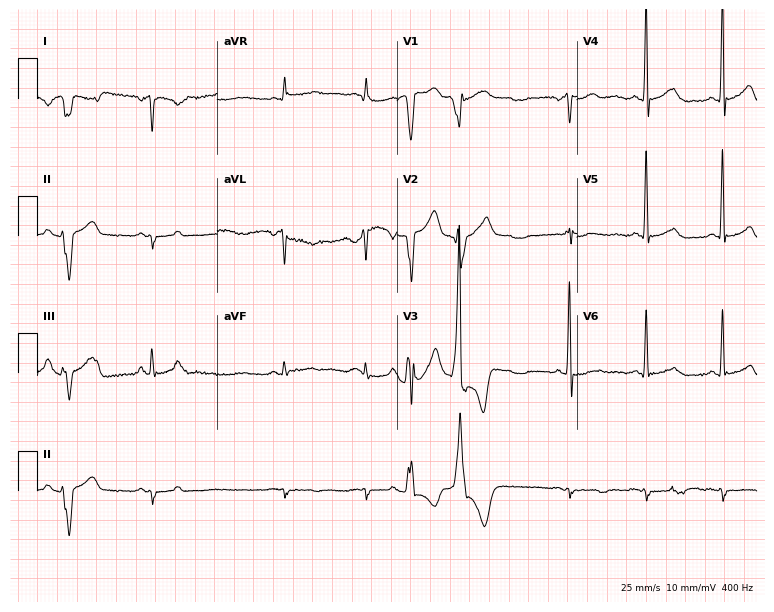
Electrocardiogram (7.3-second recording at 400 Hz), a male patient, 71 years old. Of the six screened findings (first-degree AV block, right bundle branch block, left bundle branch block, sinus bradycardia, atrial fibrillation, sinus tachycardia), none is recorded.